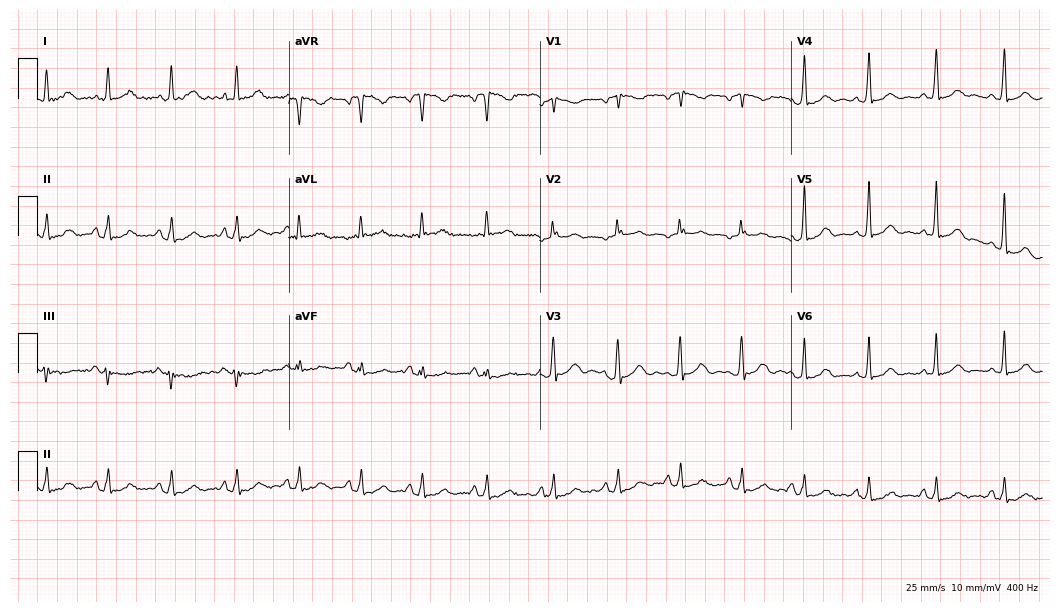
12-lead ECG from a female patient, 43 years old. Screened for six findings — first-degree AV block, right bundle branch block, left bundle branch block, sinus bradycardia, atrial fibrillation, sinus tachycardia — none is recorded.